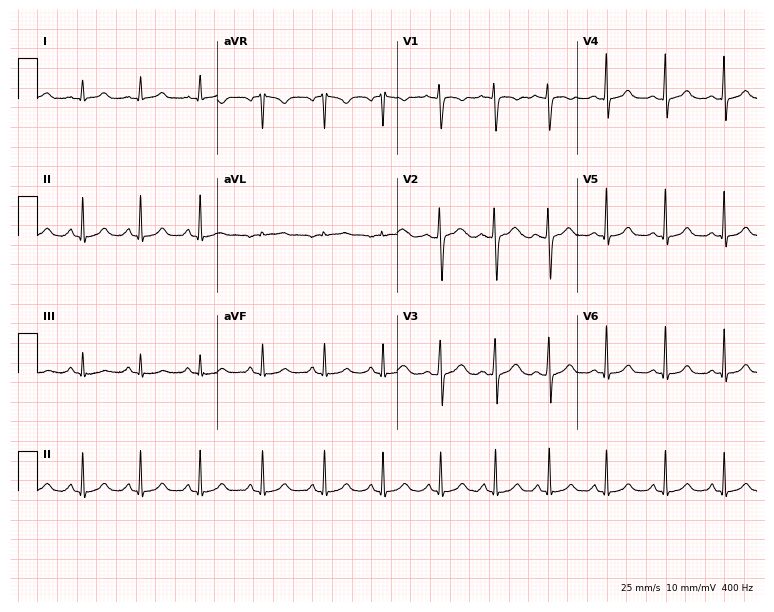
12-lead ECG from a female patient, 22 years old. Recorded interpretation: within normal limits.